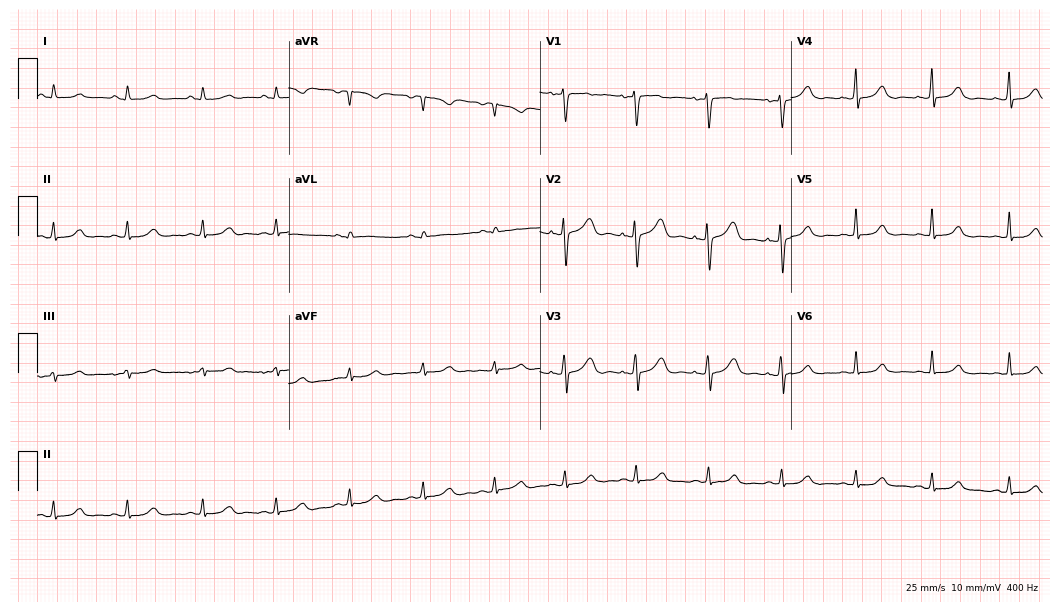
ECG — a woman, 45 years old. Labelled as a normal ECG.